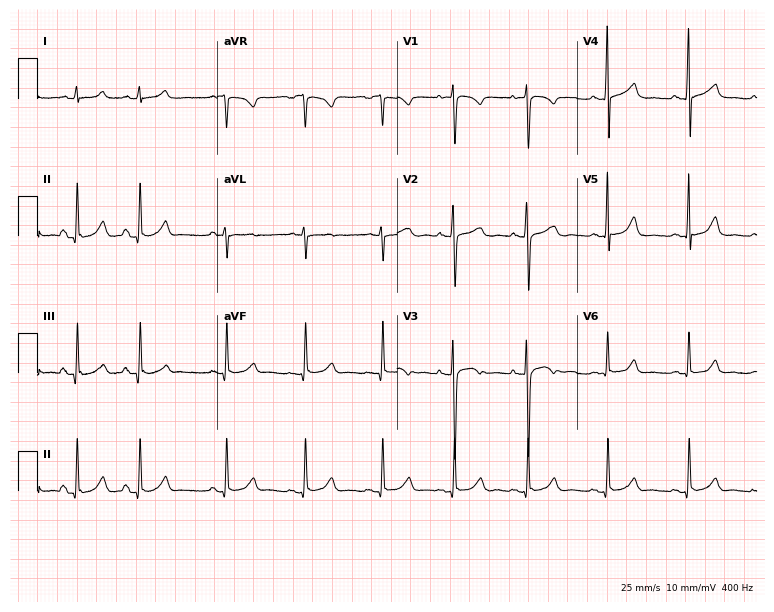
ECG (7.3-second recording at 400 Hz) — a 21-year-old female. Screened for six findings — first-degree AV block, right bundle branch block, left bundle branch block, sinus bradycardia, atrial fibrillation, sinus tachycardia — none is recorded.